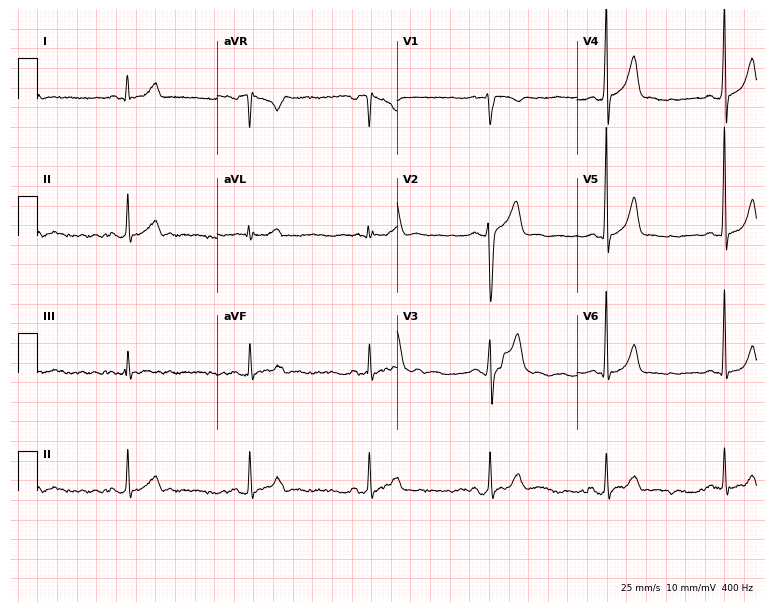
Resting 12-lead electrocardiogram. Patient: a male, 32 years old. The tracing shows sinus bradycardia (a sinus rate of 50 beats per minute or less).